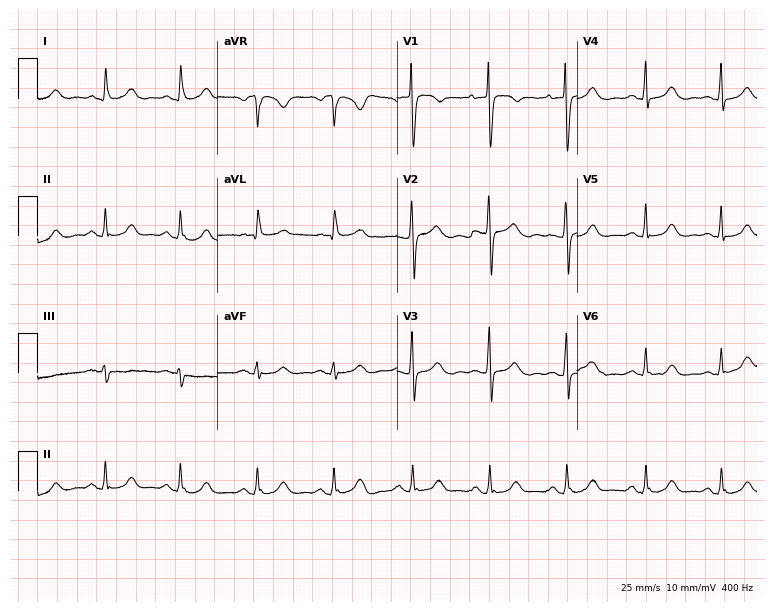
Electrocardiogram (7.3-second recording at 400 Hz), a woman, 71 years old. Overall reading on record: normal ECG.